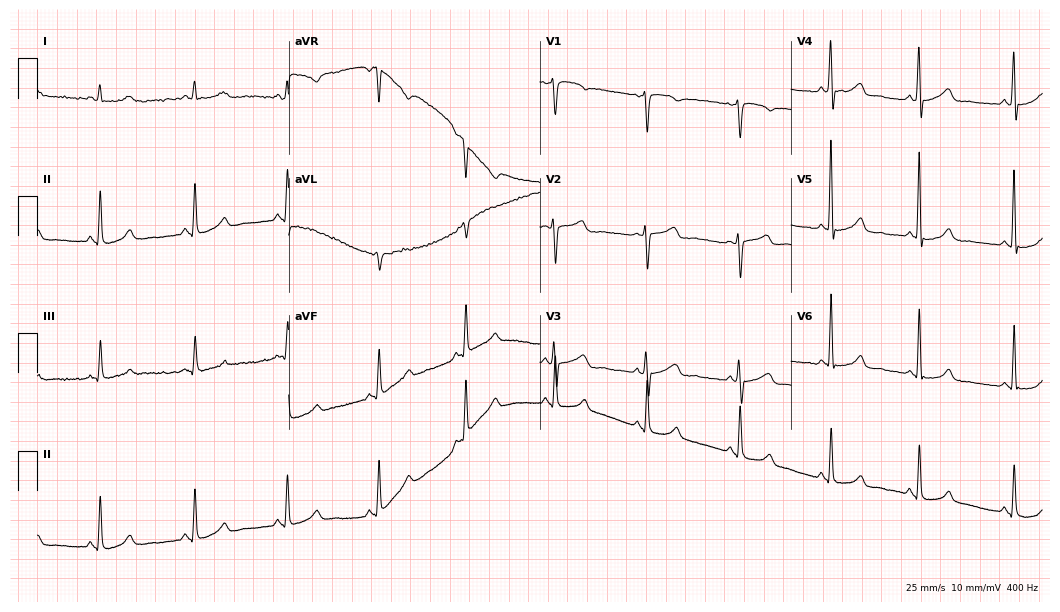
12-lead ECG from a 44-year-old female patient. No first-degree AV block, right bundle branch block, left bundle branch block, sinus bradycardia, atrial fibrillation or sinus tachycardia recorded for this tracing. Only these six findings were labelled.